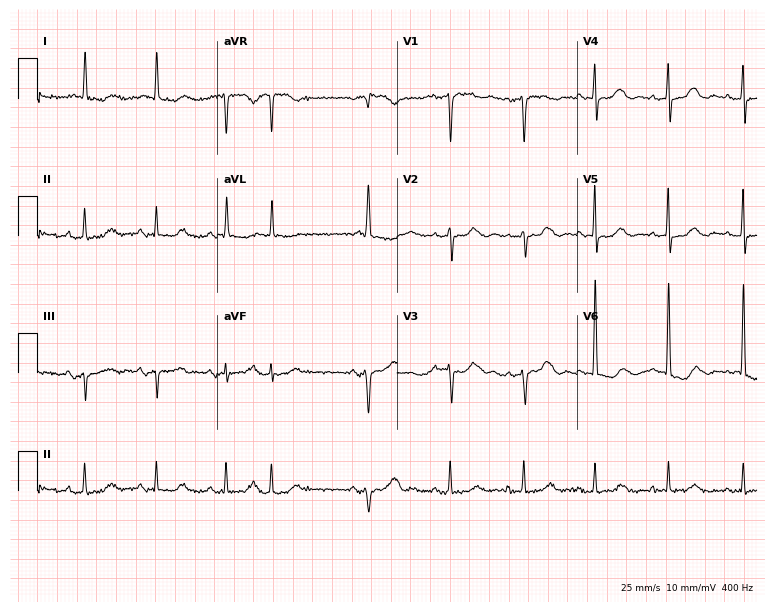
ECG — an 80-year-old female. Labelled as a normal ECG.